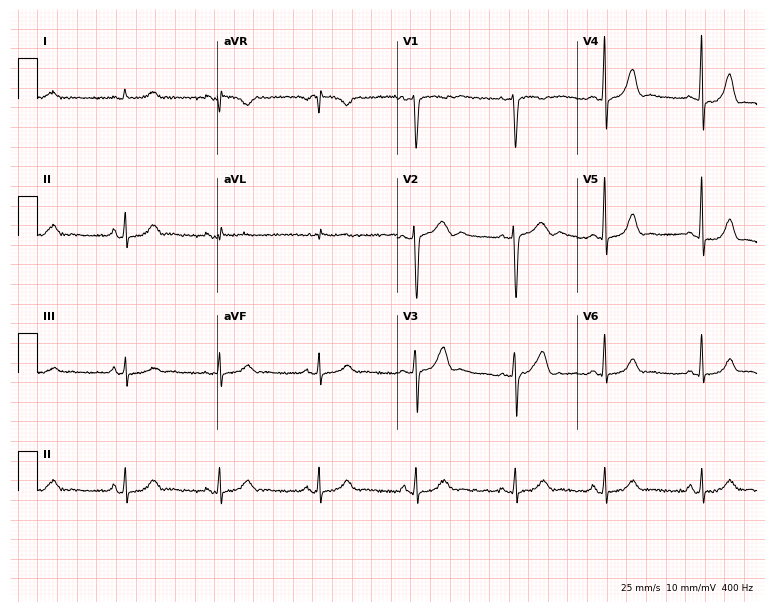
Standard 12-lead ECG recorded from a female, 30 years old (7.3-second recording at 400 Hz). None of these six findings is recorded: first-degree AV block, right bundle branch block, left bundle branch block, sinus bradycardia, atrial fibrillation, sinus tachycardia. Only these six findings were labelled.